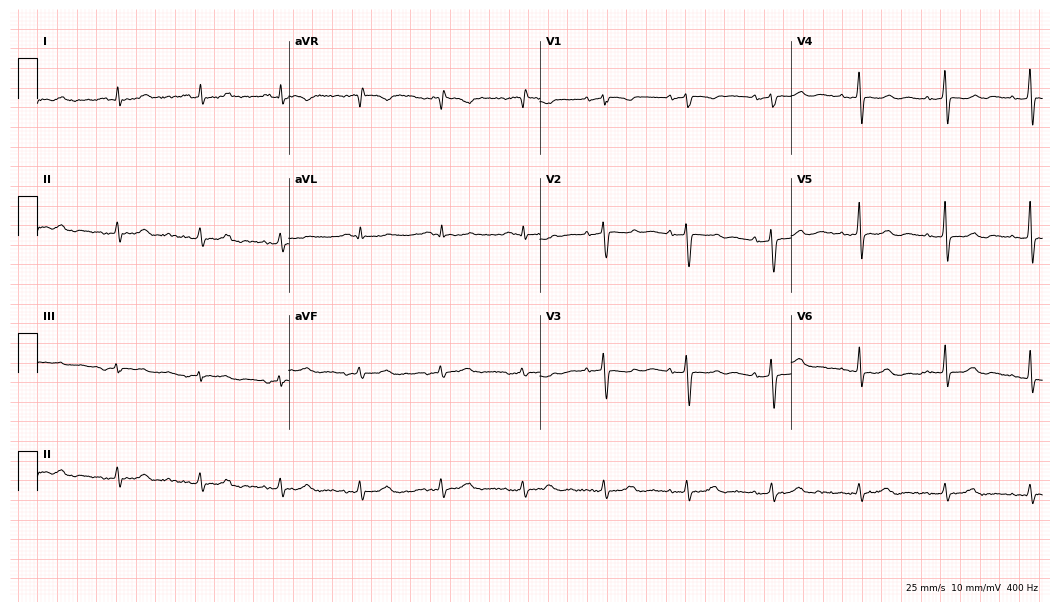
ECG — a woman, 68 years old. Labelled as a normal ECG.